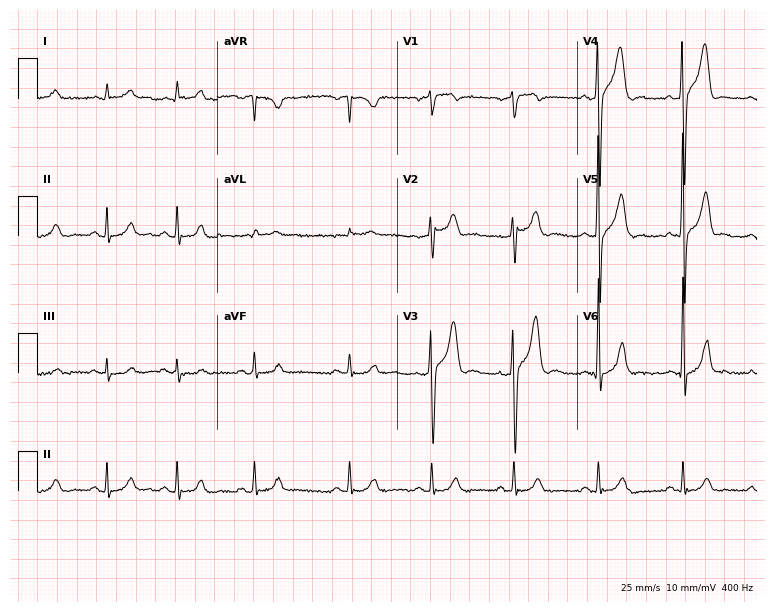
12-lead ECG from a male patient, 31 years old. Labelled as a normal ECG.